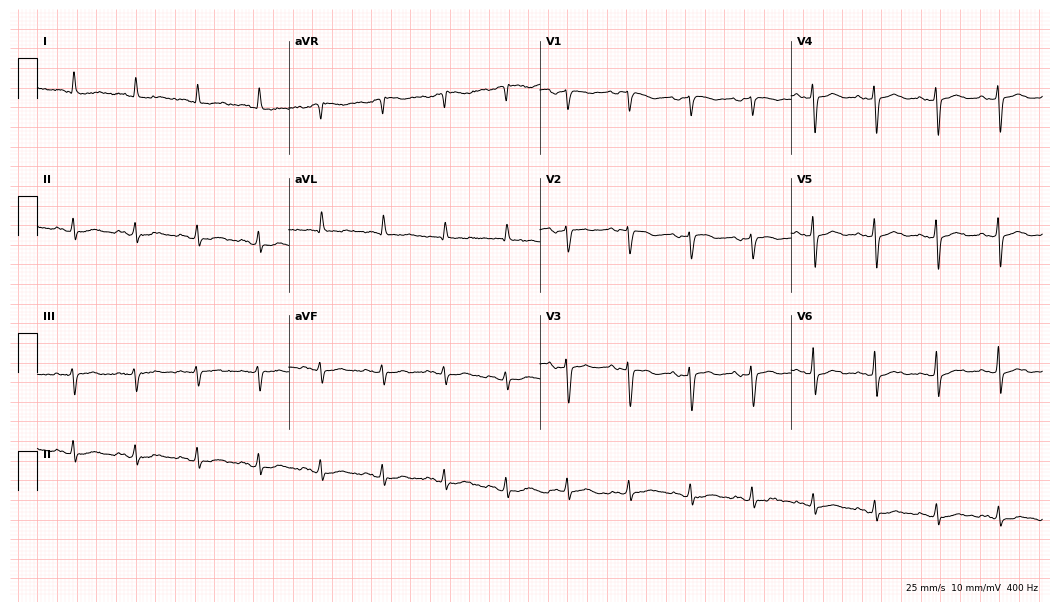
Electrocardiogram, a female, 81 years old. Of the six screened findings (first-degree AV block, right bundle branch block (RBBB), left bundle branch block (LBBB), sinus bradycardia, atrial fibrillation (AF), sinus tachycardia), none is recorded. Only these six findings were labelled.